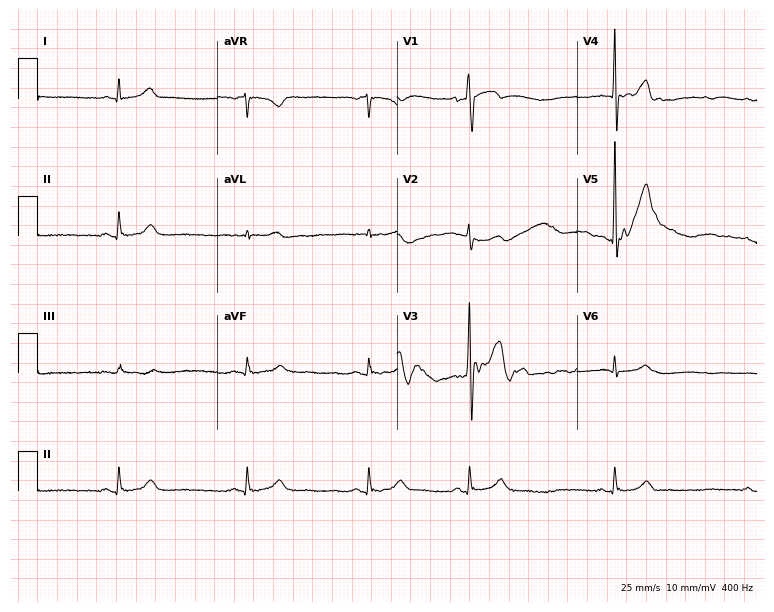
Resting 12-lead electrocardiogram. Patient: a 37-year-old male. The tracing shows sinus bradycardia (a sinus rate of 50 beats per minute or less).